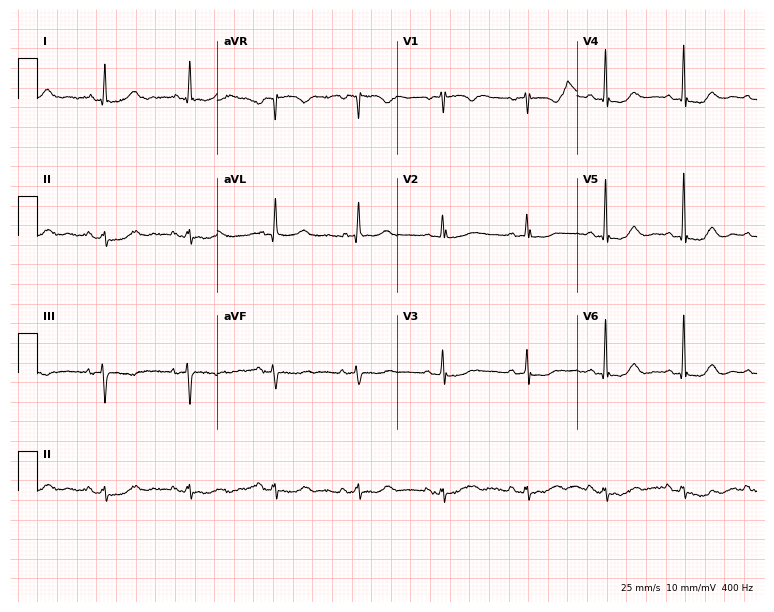
Resting 12-lead electrocardiogram. Patient: a 77-year-old female. None of these six findings is recorded: first-degree AV block, right bundle branch block (RBBB), left bundle branch block (LBBB), sinus bradycardia, atrial fibrillation (AF), sinus tachycardia. Findings outside these six are not listed.